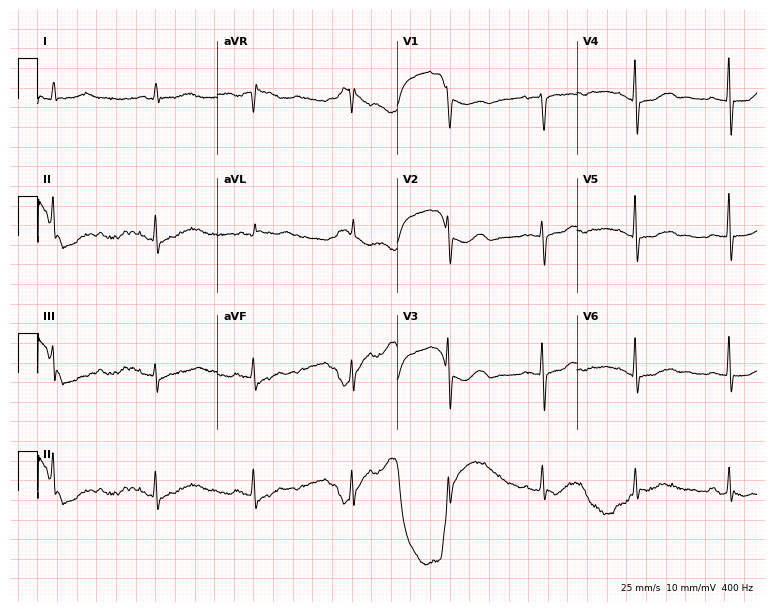
Resting 12-lead electrocardiogram (7.3-second recording at 400 Hz). Patient: a 79-year-old female. Read as a normal ECG.